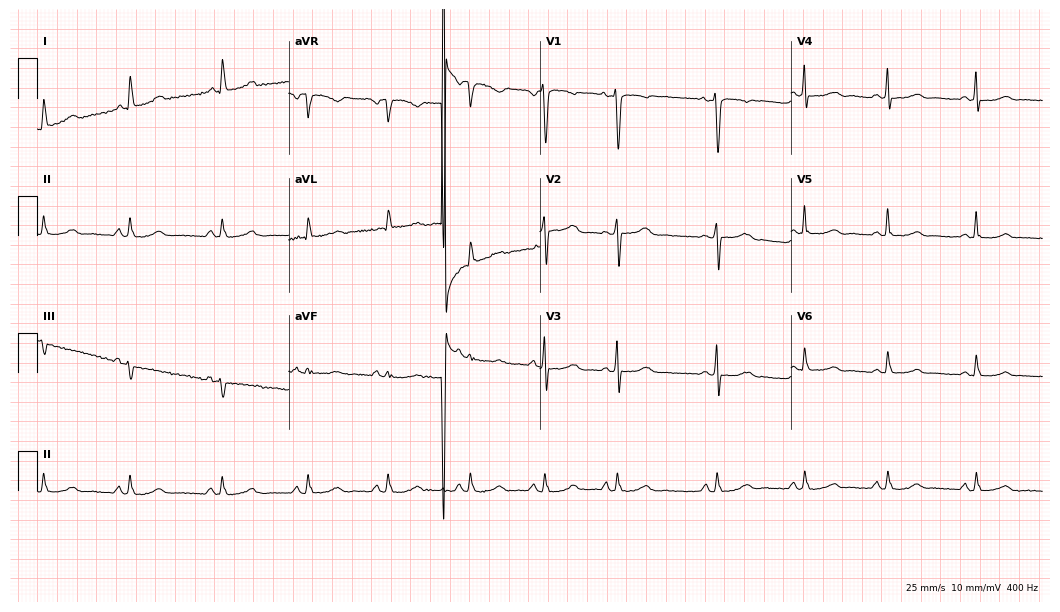
Resting 12-lead electrocardiogram (10.2-second recording at 400 Hz). Patient: a female, 60 years old. Read as a normal ECG.